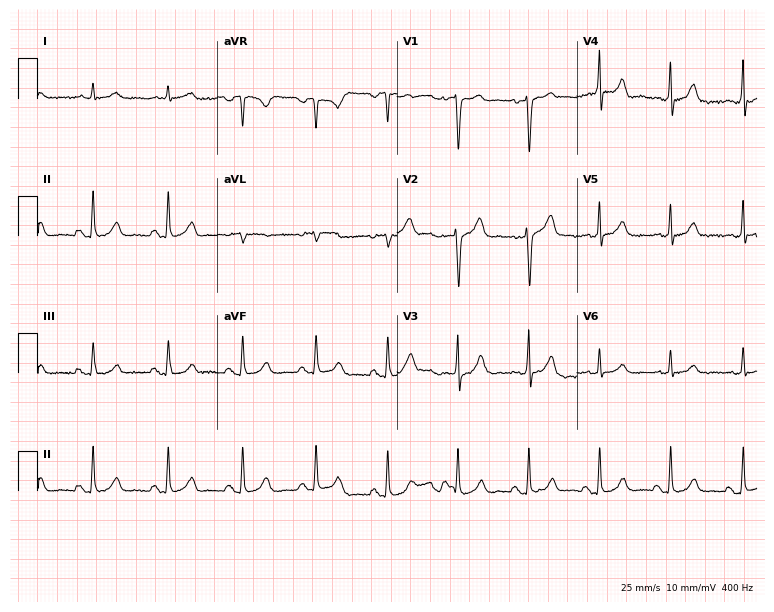
Electrocardiogram (7.3-second recording at 400 Hz), a male, 59 years old. Overall reading on record: normal ECG.